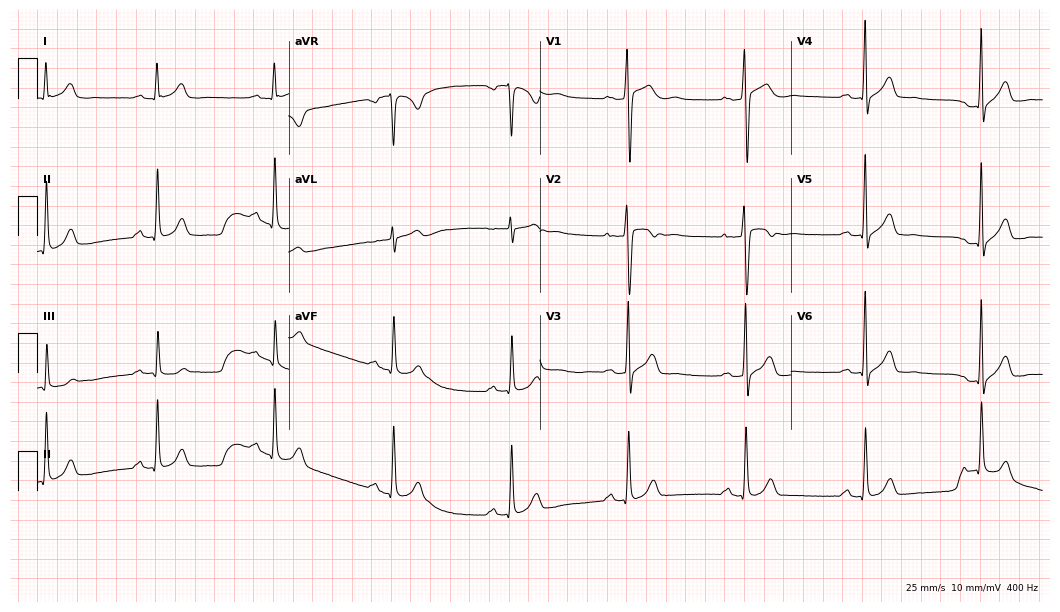
12-lead ECG from a male, 30 years old (10.2-second recording at 400 Hz). No first-degree AV block, right bundle branch block, left bundle branch block, sinus bradycardia, atrial fibrillation or sinus tachycardia recorded for this tracing.